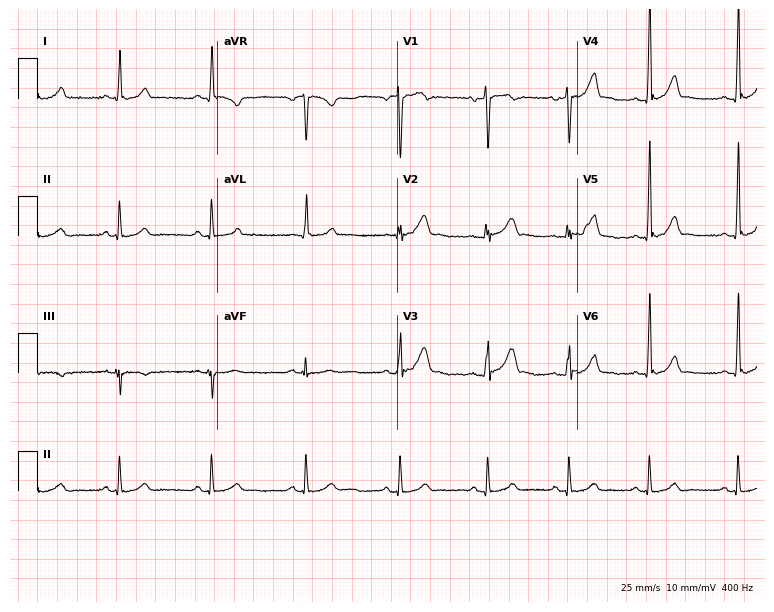
Resting 12-lead electrocardiogram (7.3-second recording at 400 Hz). Patient: a 20-year-old man. None of these six findings is recorded: first-degree AV block, right bundle branch block, left bundle branch block, sinus bradycardia, atrial fibrillation, sinus tachycardia.